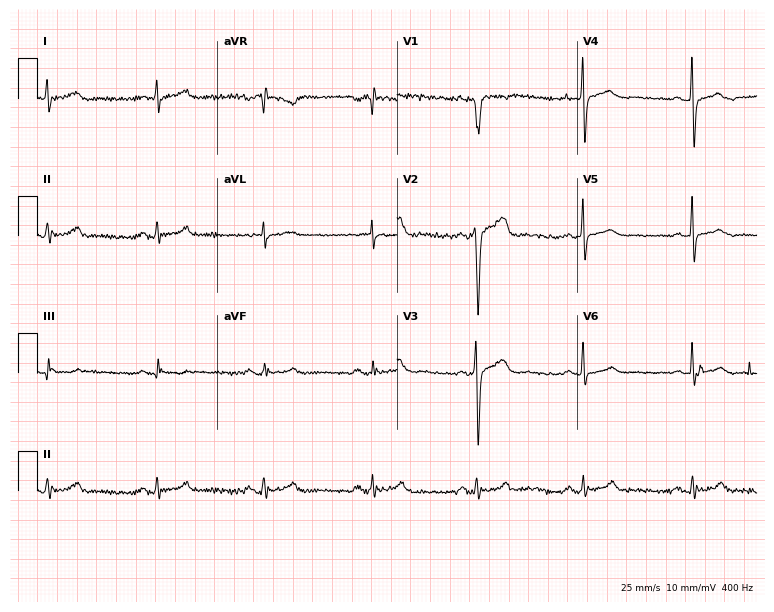
ECG (7.3-second recording at 400 Hz) — a man, 36 years old. Labelled as a normal ECG.